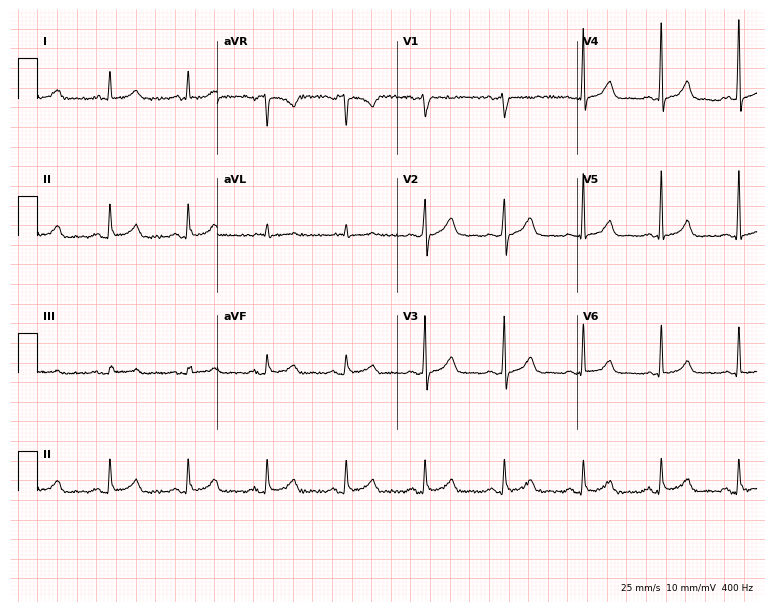
12-lead ECG from a 61-year-old male patient (7.3-second recording at 400 Hz). Recorded interpretation: within normal limits.